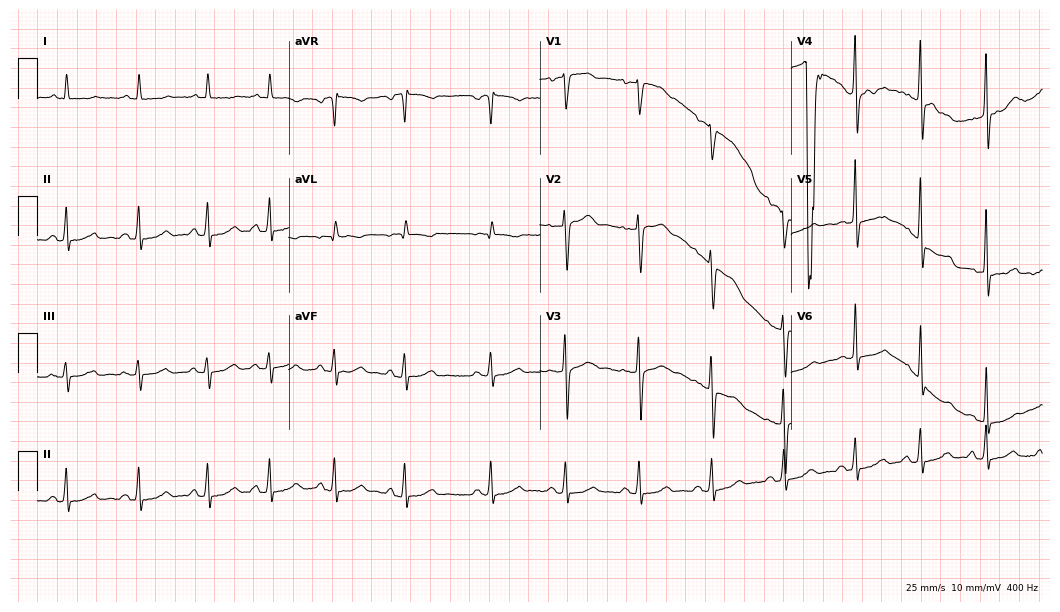
12-lead ECG from a 49-year-old woman. Screened for six findings — first-degree AV block, right bundle branch block, left bundle branch block, sinus bradycardia, atrial fibrillation, sinus tachycardia — none is recorded. Findings outside these six are not listed.